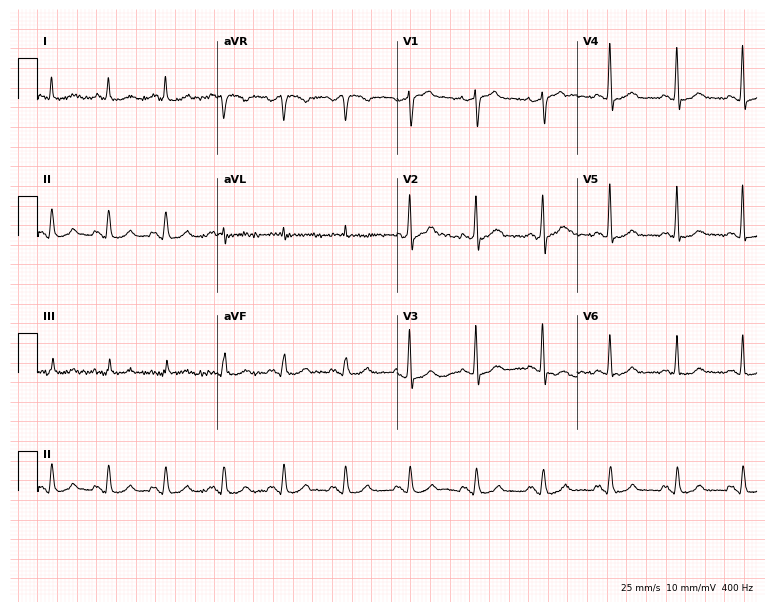
Standard 12-lead ECG recorded from a male, 65 years old (7.3-second recording at 400 Hz). Read as a normal ECG.